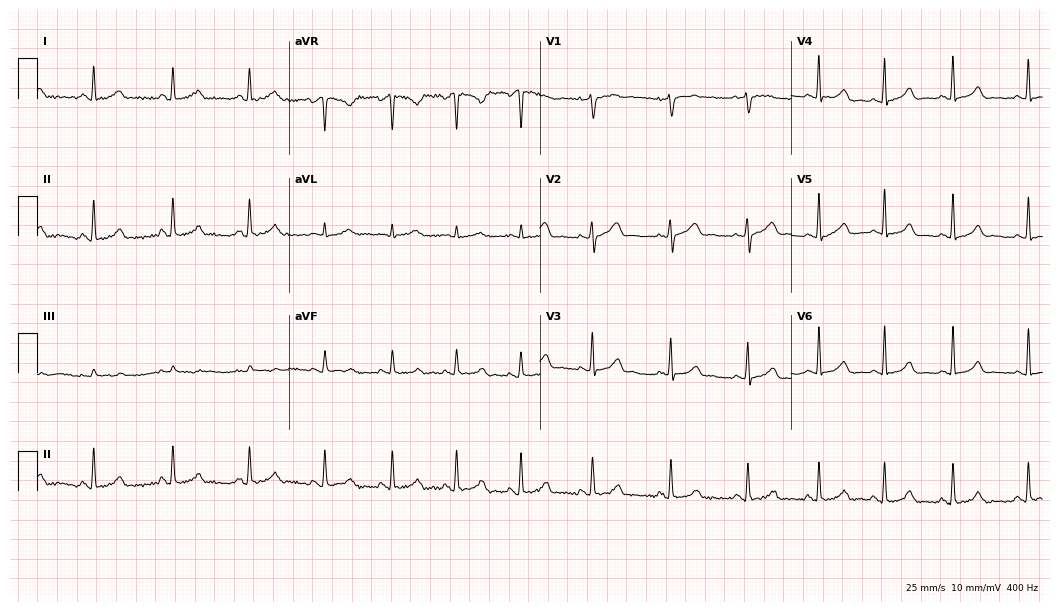
12-lead ECG from a woman, 43 years old. Labelled as a normal ECG.